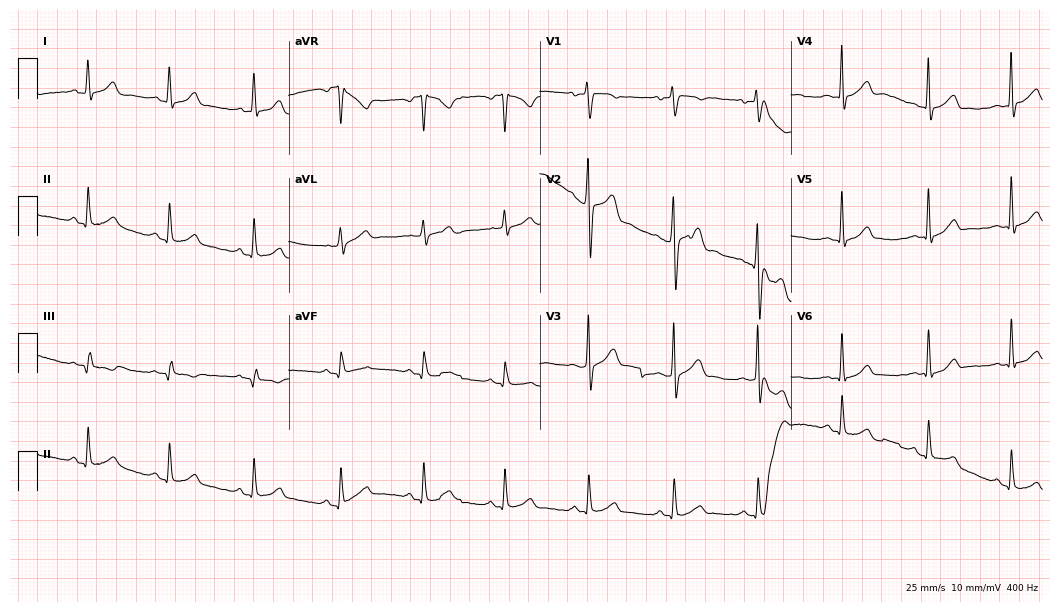
ECG — a 32-year-old male. Labelled as a normal ECG.